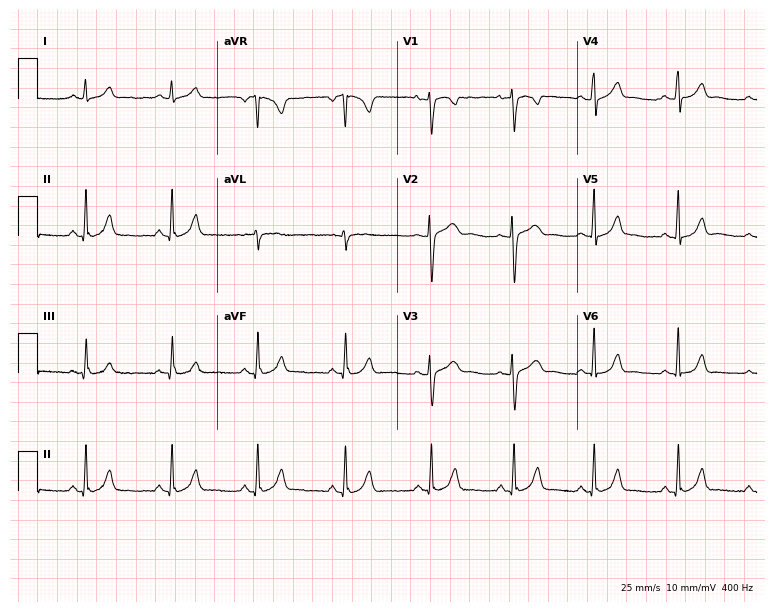
ECG — a female patient, 29 years old. Screened for six findings — first-degree AV block, right bundle branch block (RBBB), left bundle branch block (LBBB), sinus bradycardia, atrial fibrillation (AF), sinus tachycardia — none is recorded.